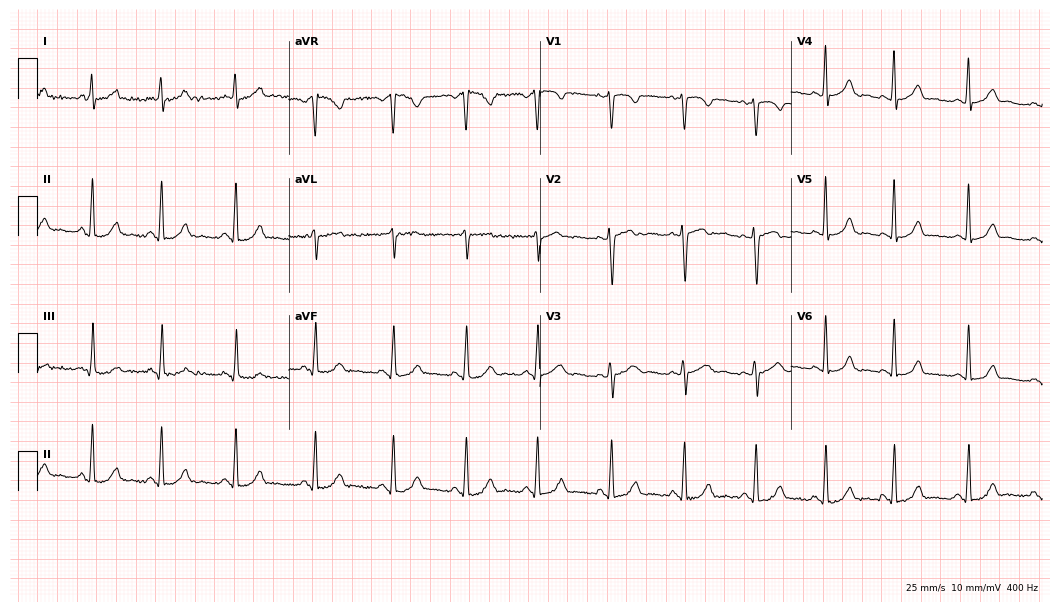
Electrocardiogram, a 40-year-old female. Overall reading on record: normal ECG.